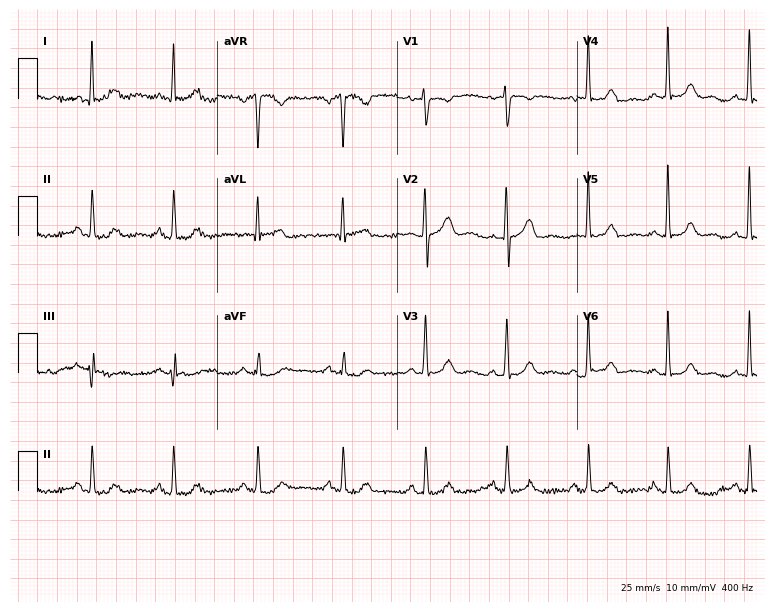
Standard 12-lead ECG recorded from a woman, 58 years old (7.3-second recording at 400 Hz). None of these six findings is recorded: first-degree AV block, right bundle branch block, left bundle branch block, sinus bradycardia, atrial fibrillation, sinus tachycardia.